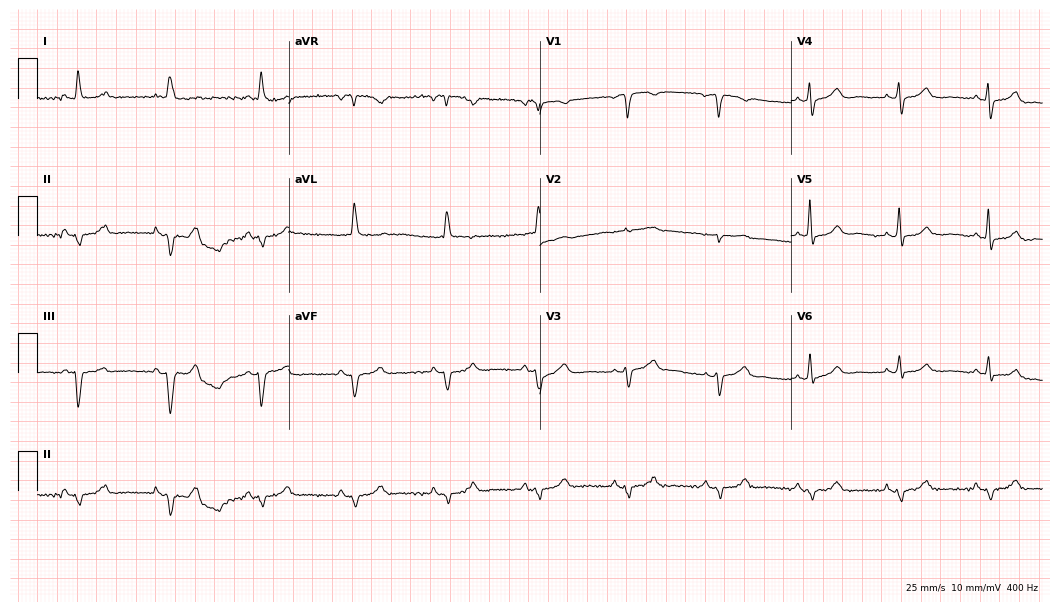
12-lead ECG (10.2-second recording at 400 Hz) from a male, 72 years old. Screened for six findings — first-degree AV block, right bundle branch block, left bundle branch block, sinus bradycardia, atrial fibrillation, sinus tachycardia — none is recorded.